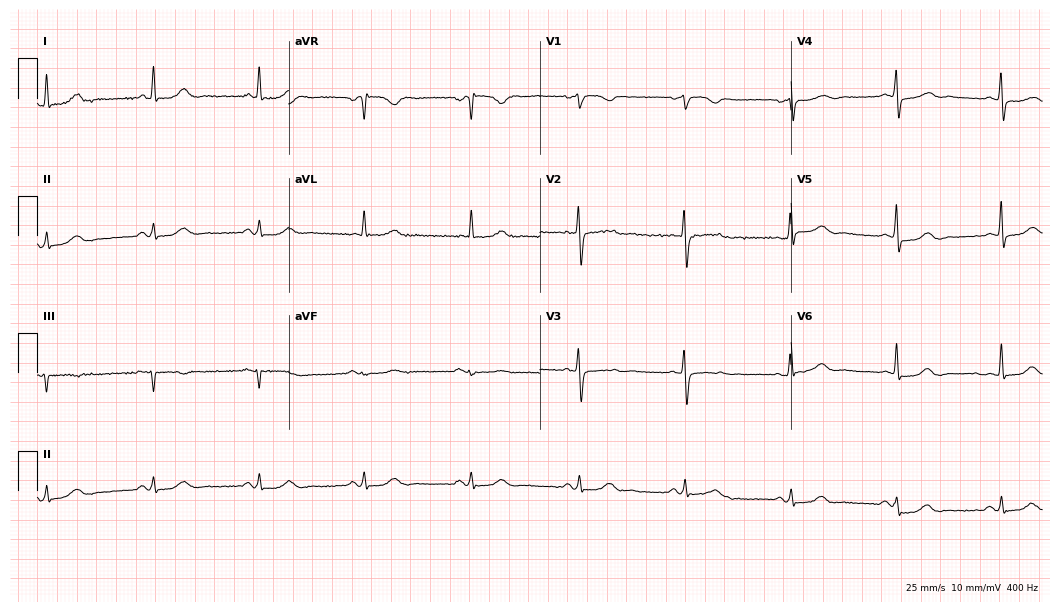
12-lead ECG from a female patient, 67 years old (10.2-second recording at 400 Hz). No first-degree AV block, right bundle branch block, left bundle branch block, sinus bradycardia, atrial fibrillation or sinus tachycardia recorded for this tracing. Findings outside these six are not listed.